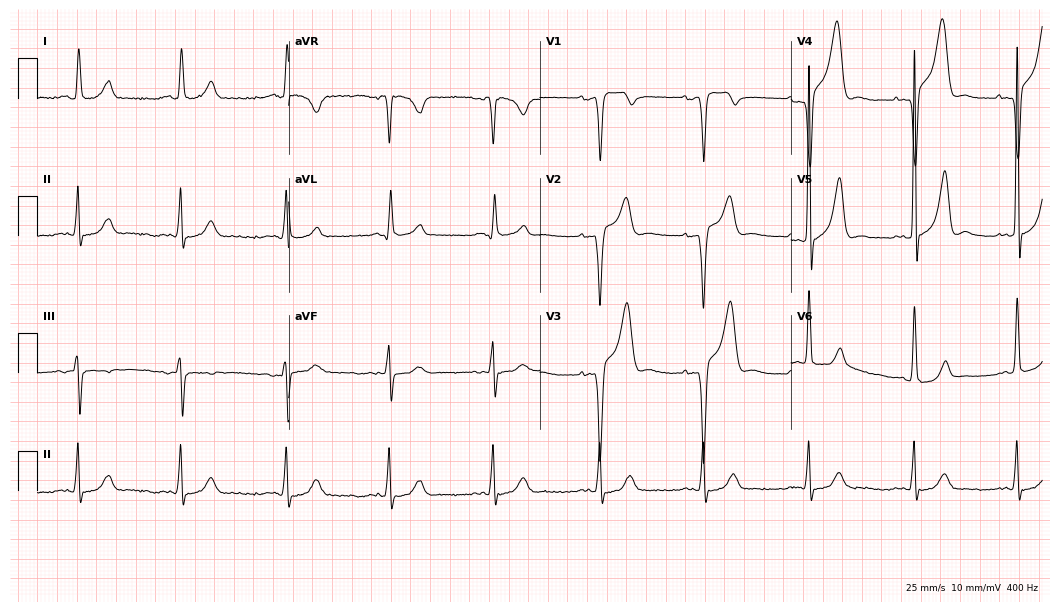
Resting 12-lead electrocardiogram (10.2-second recording at 400 Hz). Patient: a male, 83 years old. None of these six findings is recorded: first-degree AV block, right bundle branch block, left bundle branch block, sinus bradycardia, atrial fibrillation, sinus tachycardia. Only these six findings were labelled.